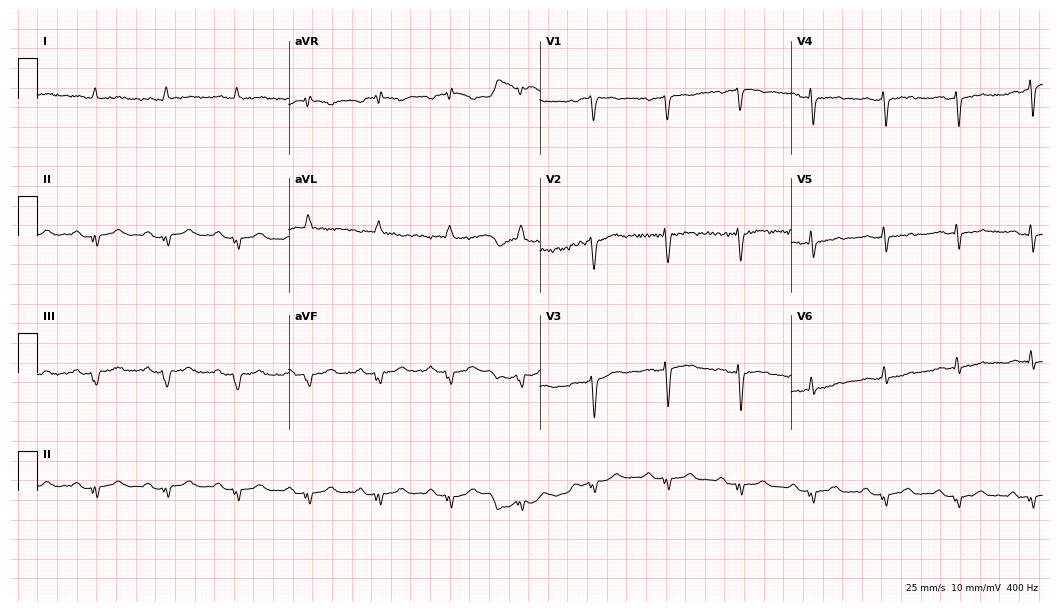
Resting 12-lead electrocardiogram (10.2-second recording at 400 Hz). Patient: a man, 63 years old. None of these six findings is recorded: first-degree AV block, right bundle branch block, left bundle branch block, sinus bradycardia, atrial fibrillation, sinus tachycardia.